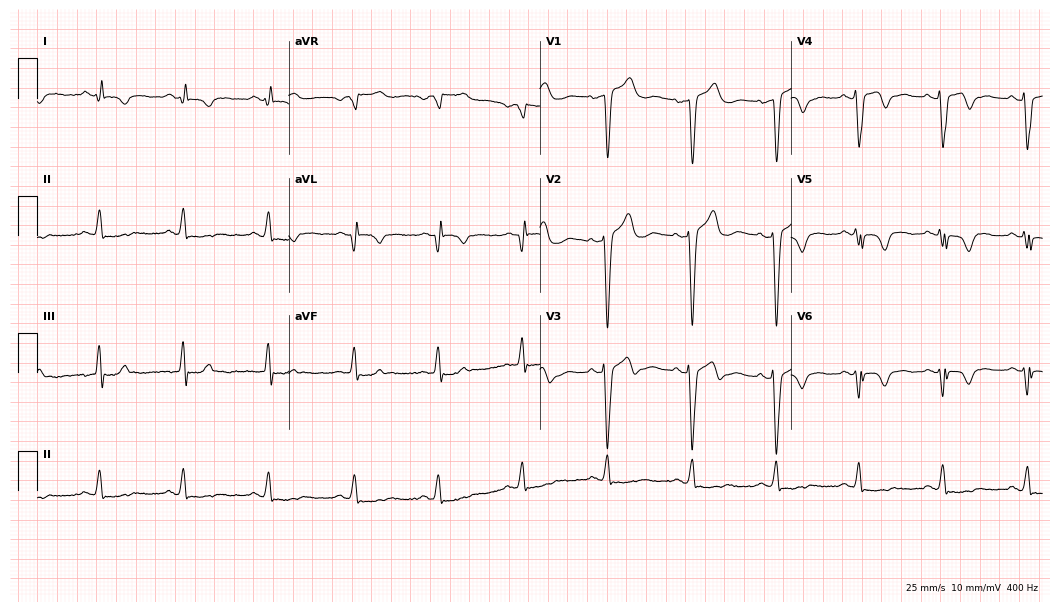
12-lead ECG from a 67-year-old male. Screened for six findings — first-degree AV block, right bundle branch block, left bundle branch block, sinus bradycardia, atrial fibrillation, sinus tachycardia — none is recorded. Only these six findings were labelled.